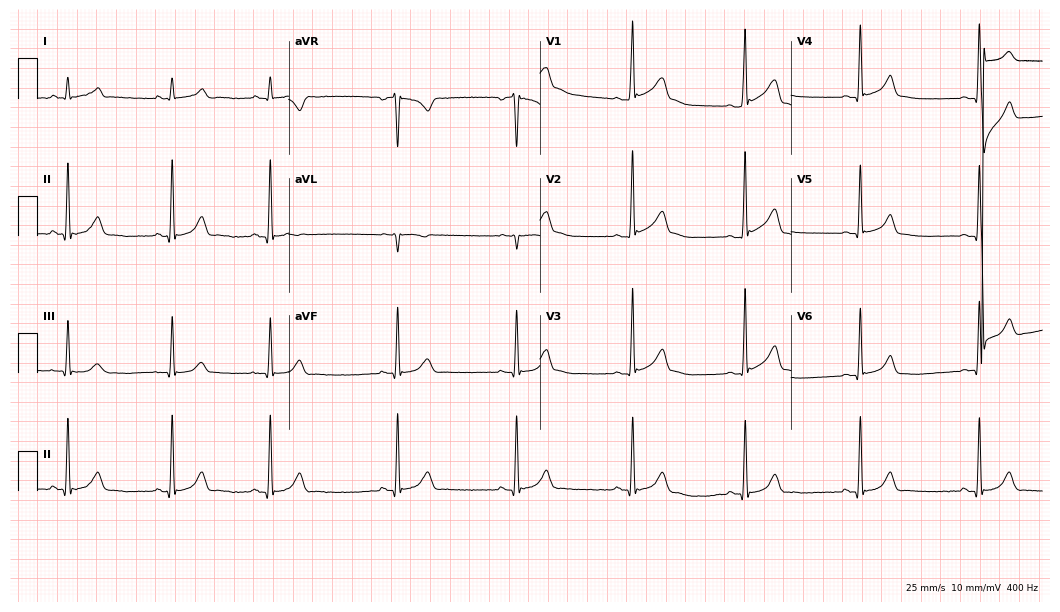
ECG — a 27-year-old male. Screened for six findings — first-degree AV block, right bundle branch block (RBBB), left bundle branch block (LBBB), sinus bradycardia, atrial fibrillation (AF), sinus tachycardia — none is recorded. Only these six findings were labelled.